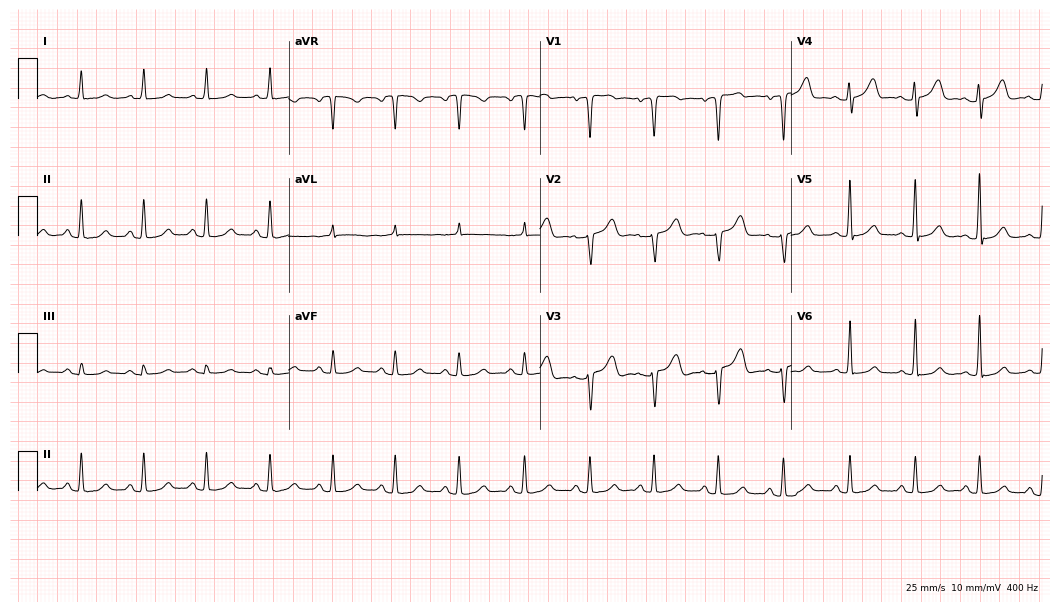
Resting 12-lead electrocardiogram. Patient: a 49-year-old female. None of these six findings is recorded: first-degree AV block, right bundle branch block, left bundle branch block, sinus bradycardia, atrial fibrillation, sinus tachycardia.